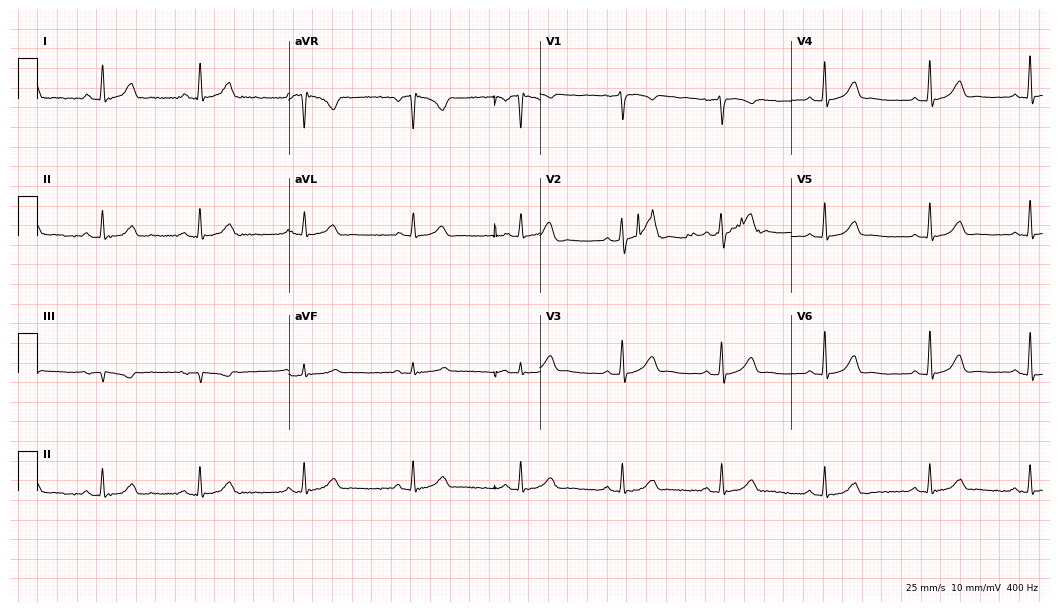
12-lead ECG from a 36-year-old male patient (10.2-second recording at 400 Hz). No first-degree AV block, right bundle branch block, left bundle branch block, sinus bradycardia, atrial fibrillation or sinus tachycardia recorded for this tracing. Only these six findings were labelled.